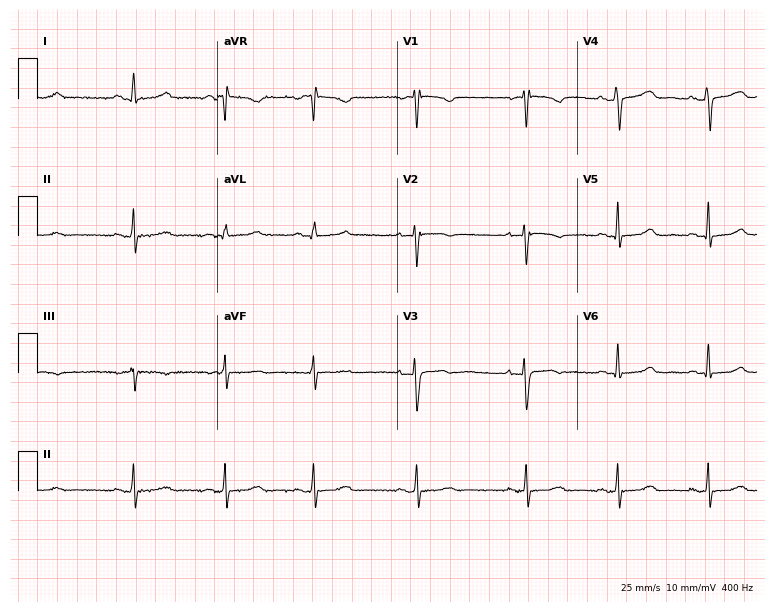
Electrocardiogram, a female, 56 years old. Of the six screened findings (first-degree AV block, right bundle branch block, left bundle branch block, sinus bradycardia, atrial fibrillation, sinus tachycardia), none is recorded. Only these six findings were labelled.